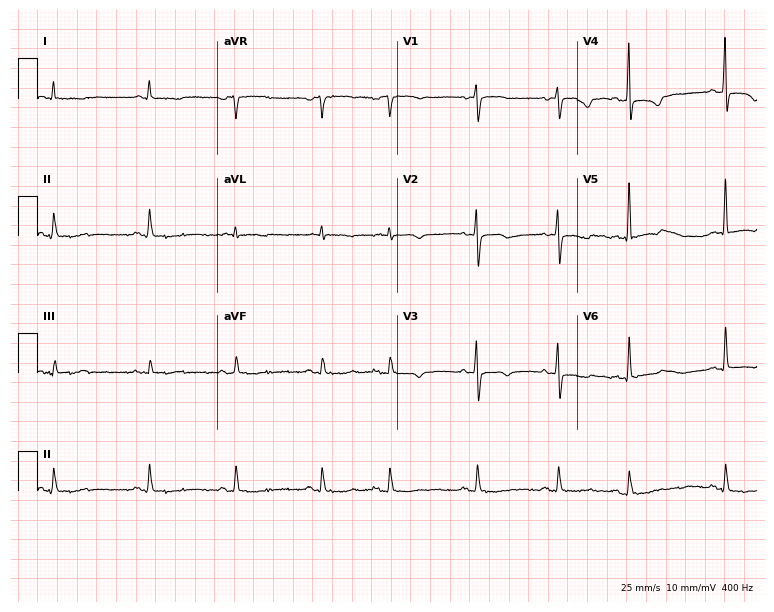
12-lead ECG from a woman, 83 years old. Screened for six findings — first-degree AV block, right bundle branch block (RBBB), left bundle branch block (LBBB), sinus bradycardia, atrial fibrillation (AF), sinus tachycardia — none is recorded.